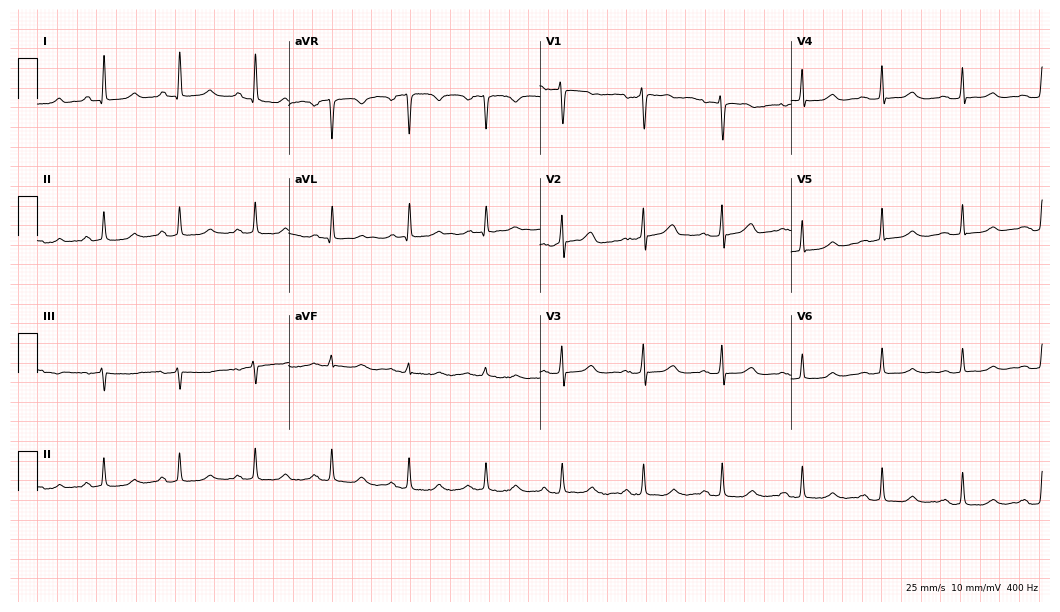
12-lead ECG from a female patient, 58 years old (10.2-second recording at 400 Hz). No first-degree AV block, right bundle branch block (RBBB), left bundle branch block (LBBB), sinus bradycardia, atrial fibrillation (AF) or sinus tachycardia recorded for this tracing. Other findings, if any, are not listed.